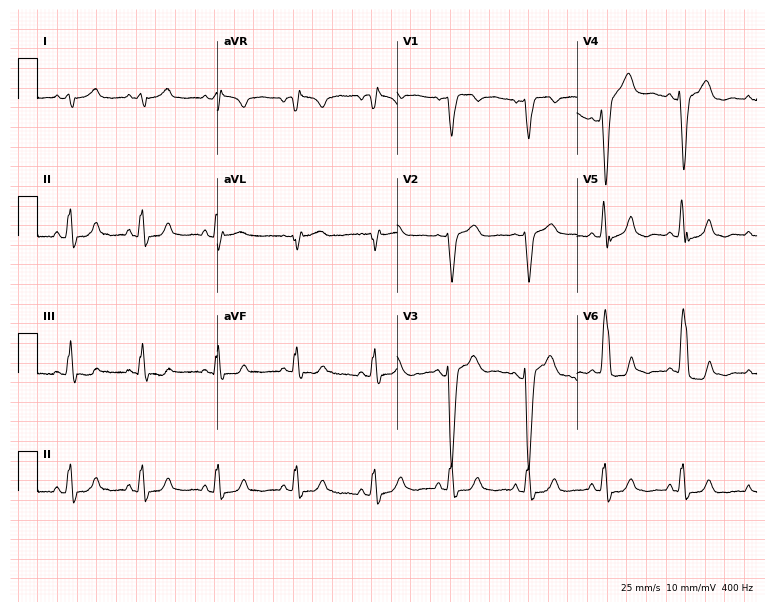
Standard 12-lead ECG recorded from a 63-year-old female. The tracing shows left bundle branch block.